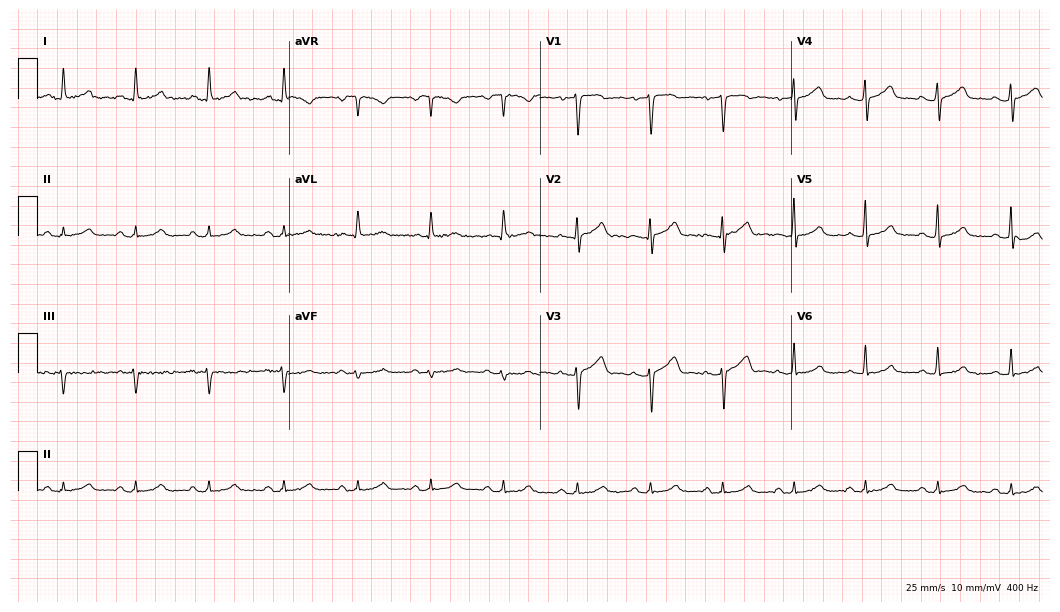
Electrocardiogram (10.2-second recording at 400 Hz), a 52-year-old female. Overall reading on record: normal ECG.